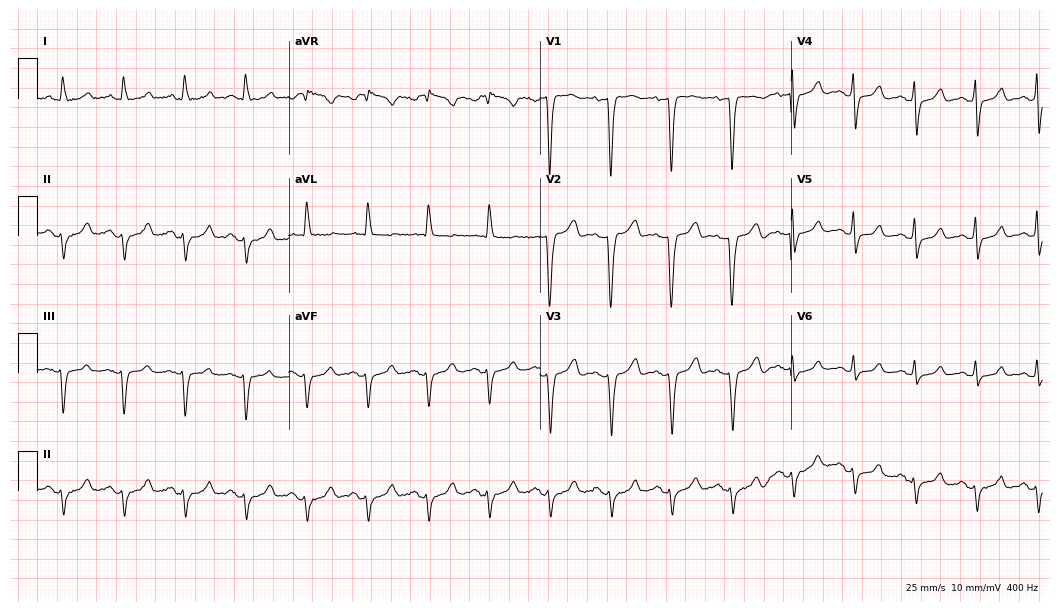
Electrocardiogram (10.2-second recording at 400 Hz), a woman, 79 years old. Of the six screened findings (first-degree AV block, right bundle branch block, left bundle branch block, sinus bradycardia, atrial fibrillation, sinus tachycardia), none is recorded.